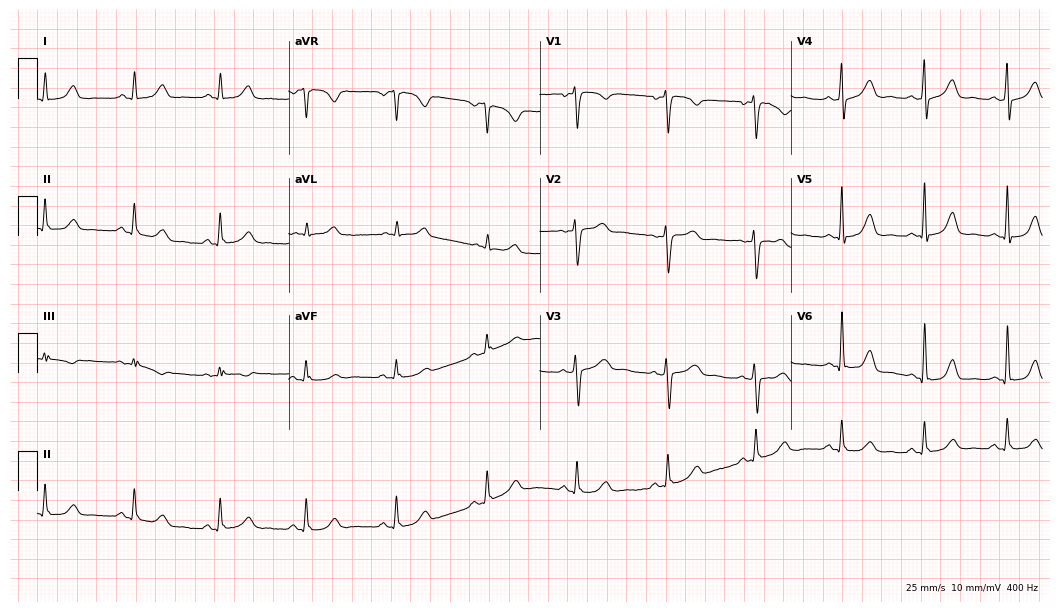
Standard 12-lead ECG recorded from a female, 42 years old (10.2-second recording at 400 Hz). Read as a normal ECG.